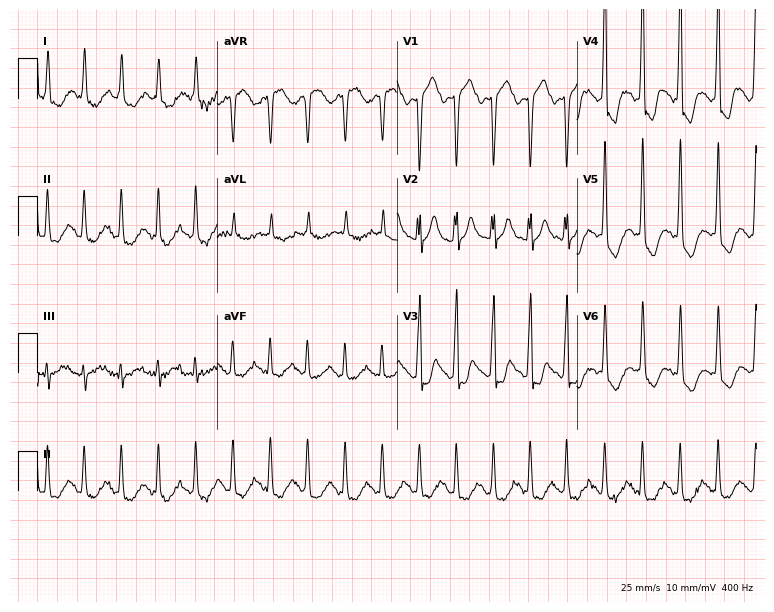
12-lead ECG (7.3-second recording at 400 Hz) from a female patient, 62 years old. Screened for six findings — first-degree AV block, right bundle branch block, left bundle branch block, sinus bradycardia, atrial fibrillation, sinus tachycardia — none is recorded.